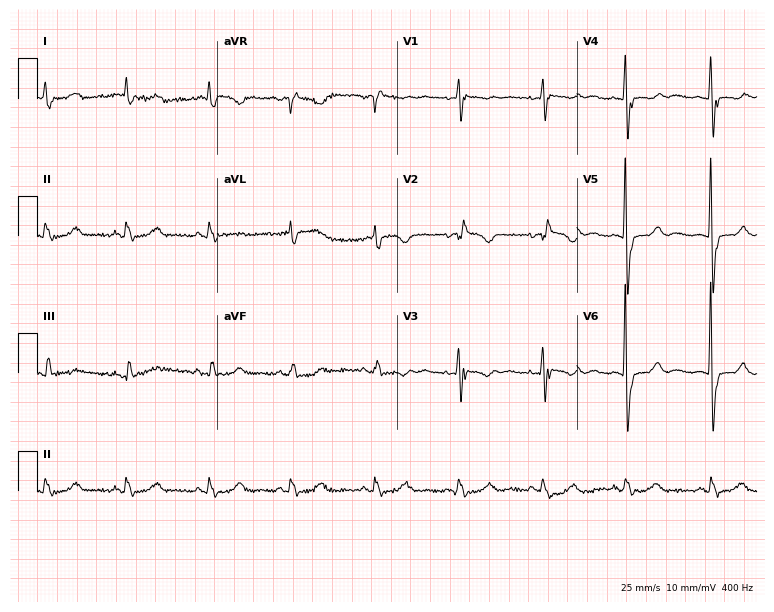
Resting 12-lead electrocardiogram (7.3-second recording at 400 Hz). Patient: an 83-year-old female. The tracing shows right bundle branch block.